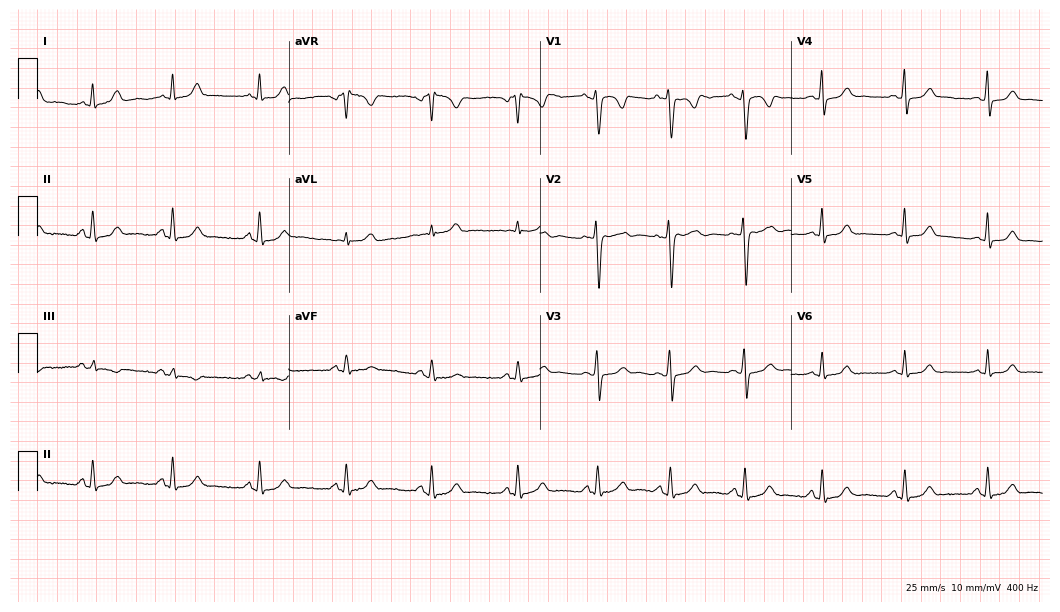
Standard 12-lead ECG recorded from a 20-year-old man. Read as a normal ECG.